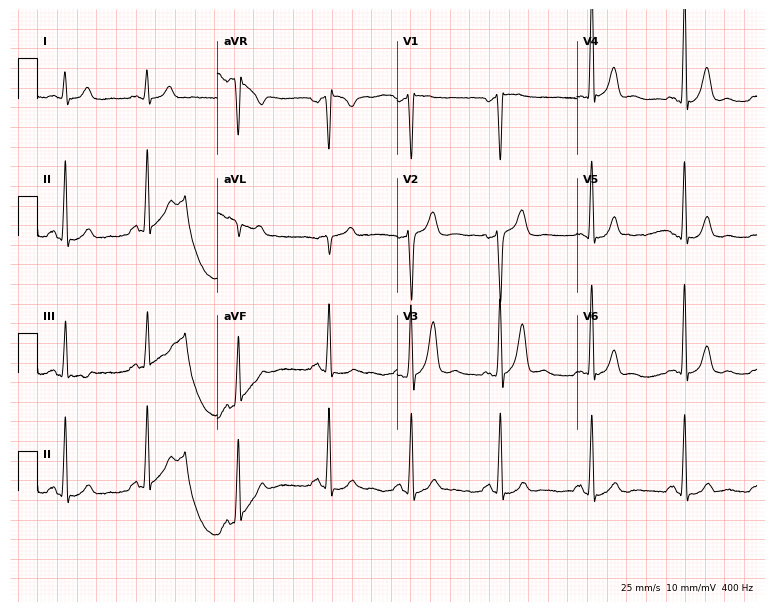
Resting 12-lead electrocardiogram (7.3-second recording at 400 Hz). Patient: a male, 39 years old. None of these six findings is recorded: first-degree AV block, right bundle branch block, left bundle branch block, sinus bradycardia, atrial fibrillation, sinus tachycardia.